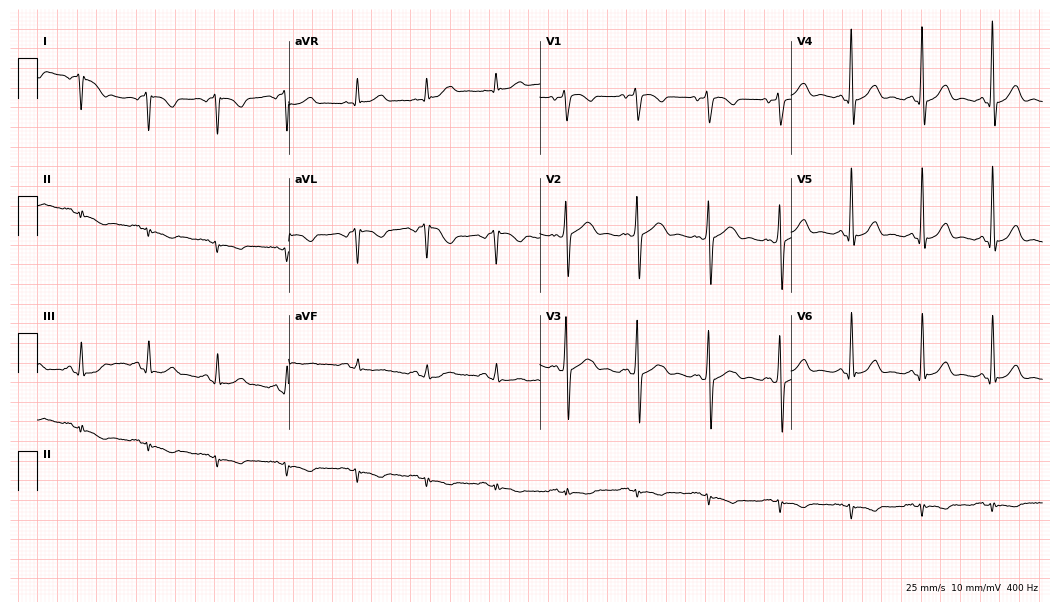
ECG (10.2-second recording at 400 Hz) — a 67-year-old male patient. Labelled as a normal ECG.